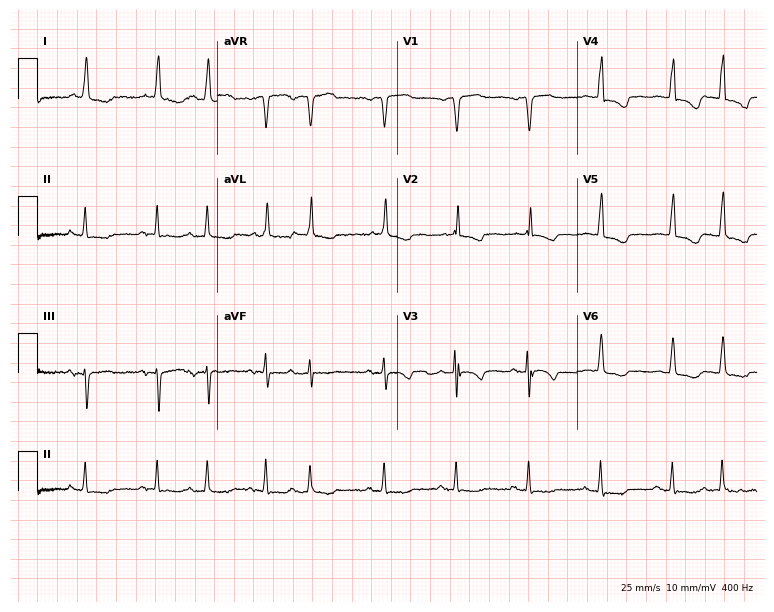
12-lead ECG (7.3-second recording at 400 Hz) from a female, 83 years old. Findings include atrial fibrillation (AF).